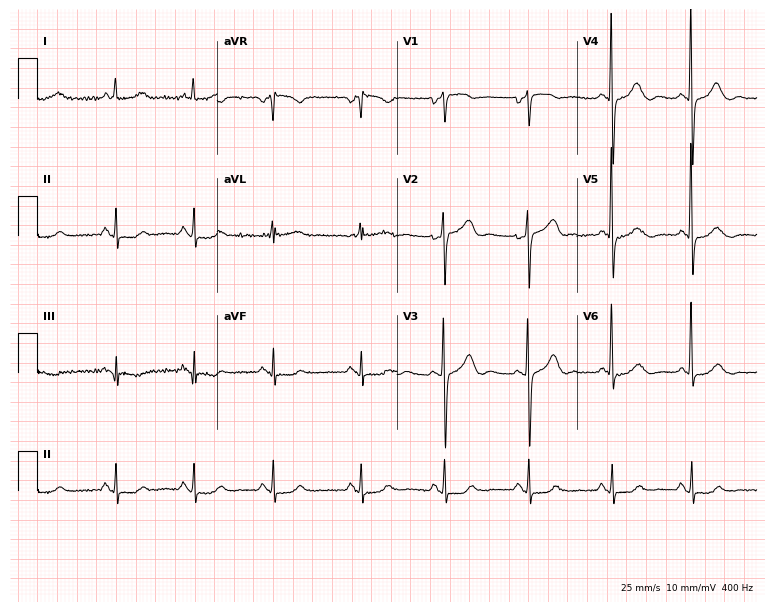
12-lead ECG from a 76-year-old female (7.3-second recording at 400 Hz). No first-degree AV block, right bundle branch block, left bundle branch block, sinus bradycardia, atrial fibrillation or sinus tachycardia recorded for this tracing. Findings outside these six are not listed.